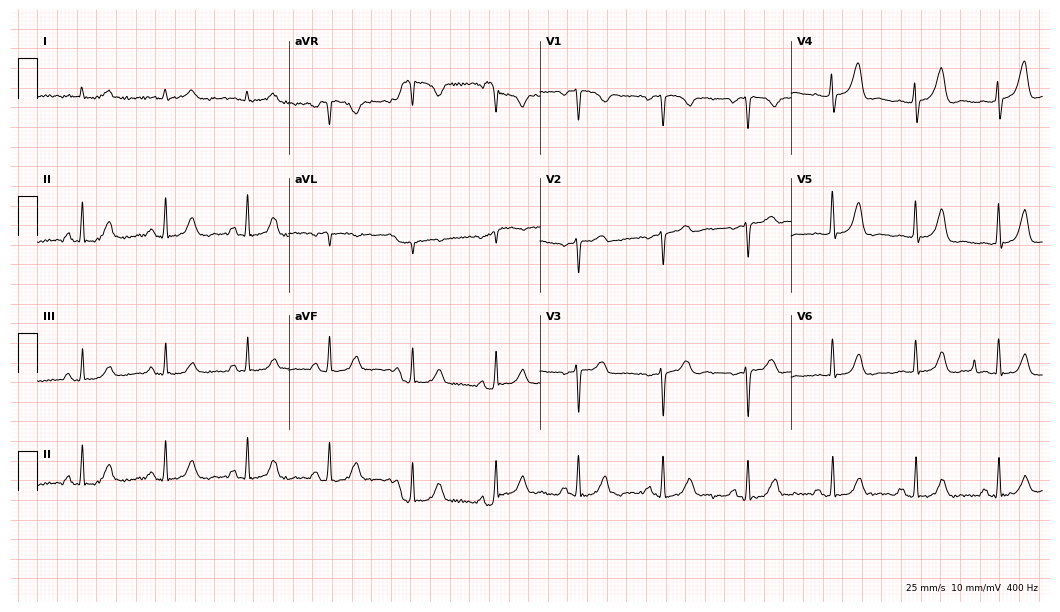
12-lead ECG from a 57-year-old man. No first-degree AV block, right bundle branch block, left bundle branch block, sinus bradycardia, atrial fibrillation or sinus tachycardia recorded for this tracing. Only these six findings were labelled.